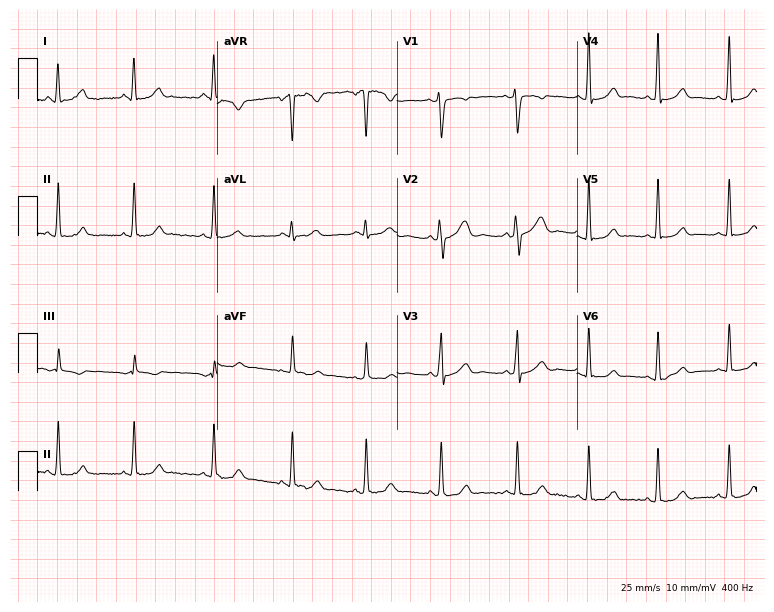
Standard 12-lead ECG recorded from a 33-year-old female patient (7.3-second recording at 400 Hz). None of these six findings is recorded: first-degree AV block, right bundle branch block, left bundle branch block, sinus bradycardia, atrial fibrillation, sinus tachycardia. Other findings, if any, are not listed.